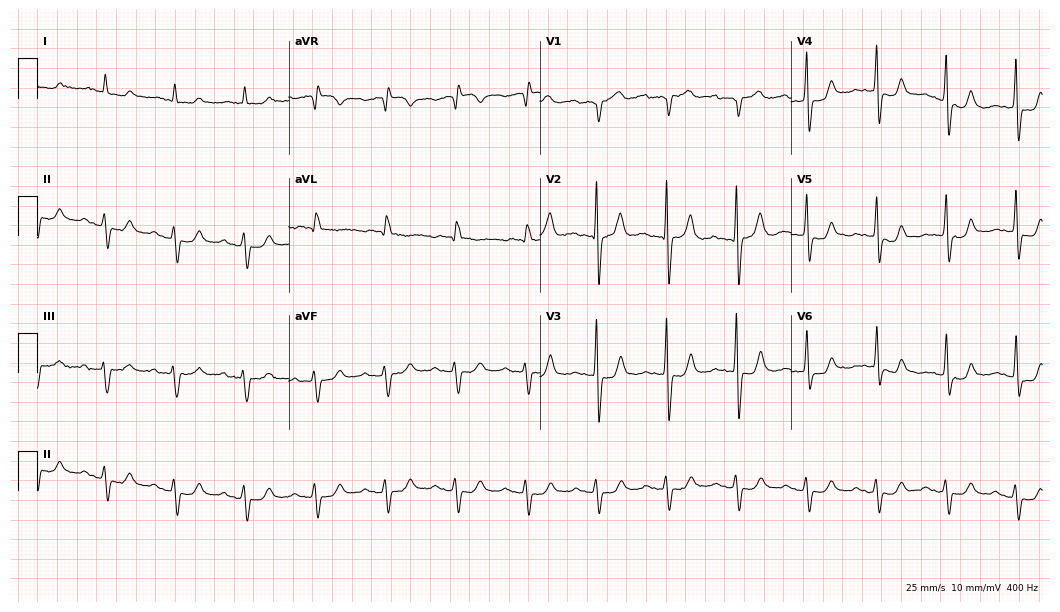
Resting 12-lead electrocardiogram. Patient: a man, 79 years old. The tracing shows first-degree AV block.